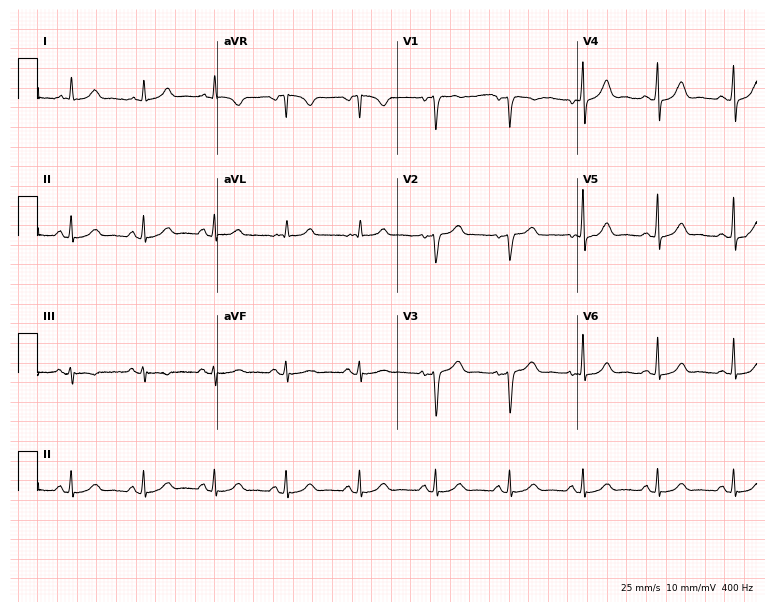
12-lead ECG (7.3-second recording at 400 Hz) from a 47-year-old female. Labelled as a normal ECG.